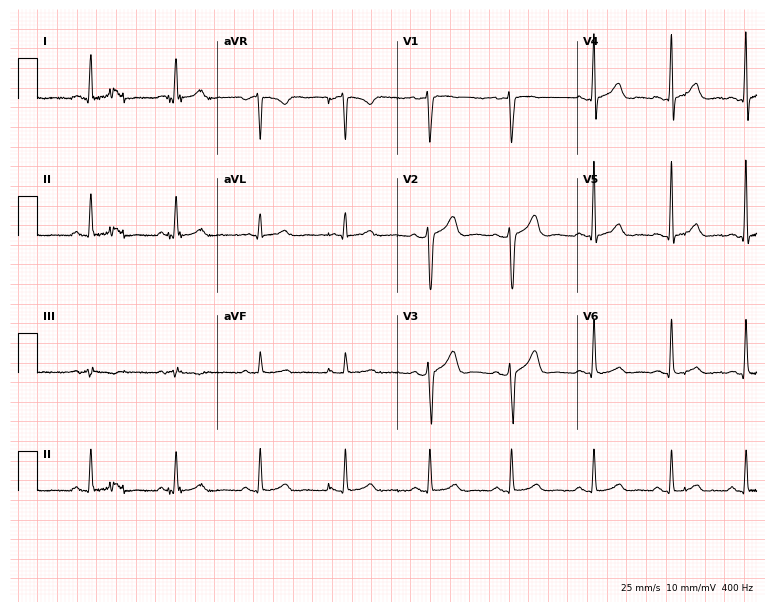
Electrocardiogram, a 37-year-old male. Overall reading on record: normal ECG.